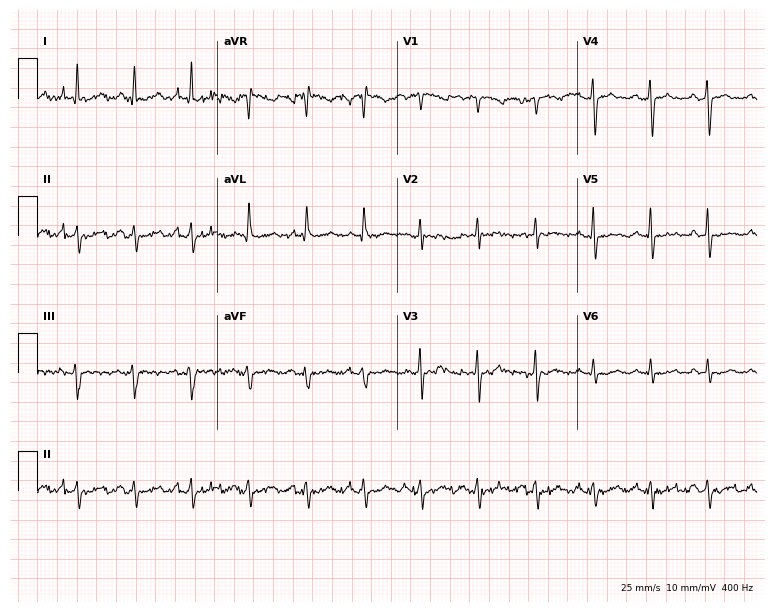
ECG (7.3-second recording at 400 Hz) — a 55-year-old woman. Screened for six findings — first-degree AV block, right bundle branch block, left bundle branch block, sinus bradycardia, atrial fibrillation, sinus tachycardia — none is recorded. Only these six findings were labelled.